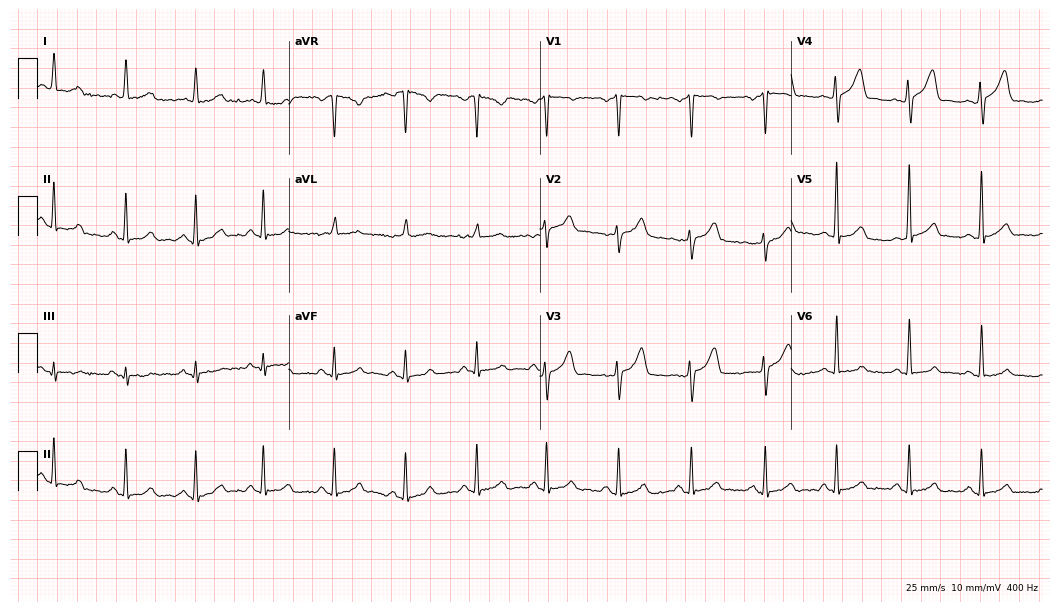
ECG (10.2-second recording at 400 Hz) — a 21-year-old male patient. Labelled as a normal ECG.